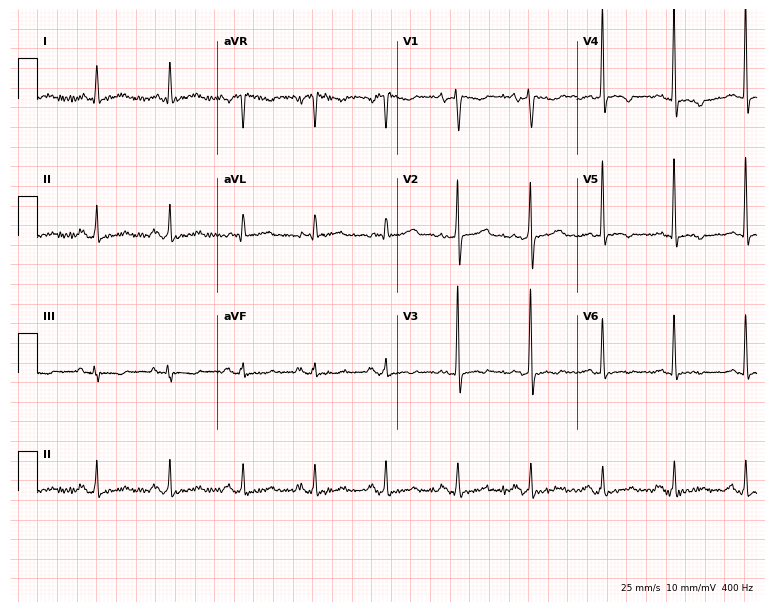
Resting 12-lead electrocardiogram (7.3-second recording at 400 Hz). Patient: a female, 55 years old. None of these six findings is recorded: first-degree AV block, right bundle branch block (RBBB), left bundle branch block (LBBB), sinus bradycardia, atrial fibrillation (AF), sinus tachycardia.